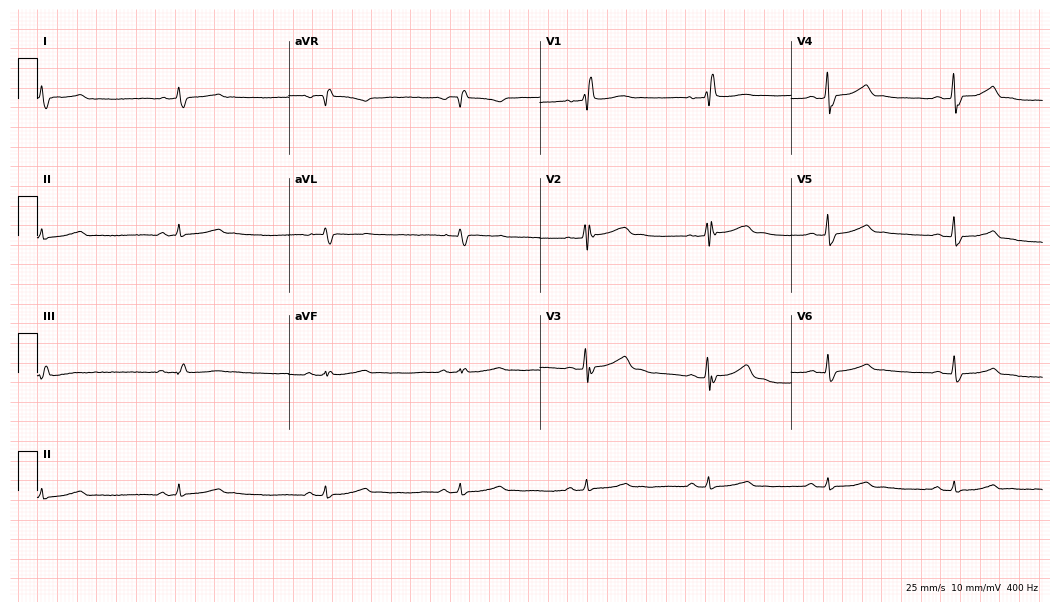
12-lead ECG from a male patient, 66 years old (10.2-second recording at 400 Hz). Shows right bundle branch block (RBBB), sinus bradycardia (a sinus rate of 50 beats per minute or less).